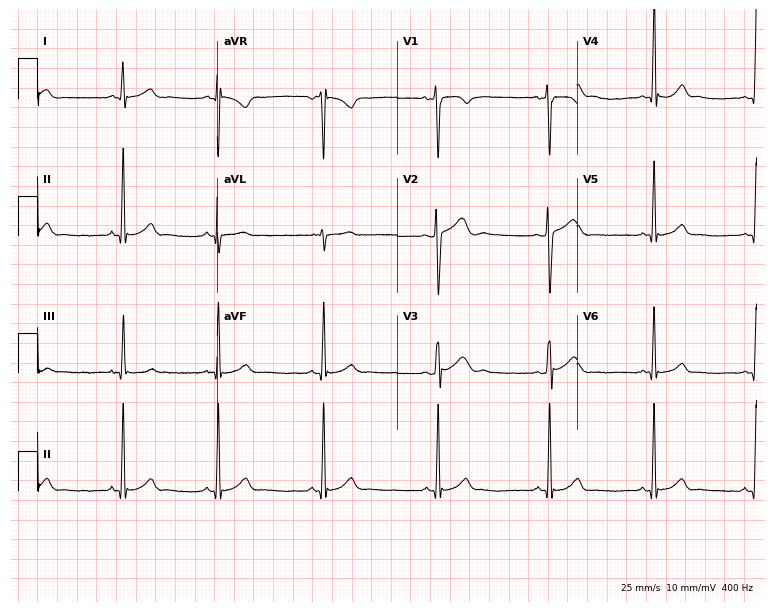
12-lead ECG (7.3-second recording at 400 Hz) from a man, 17 years old. Screened for six findings — first-degree AV block, right bundle branch block, left bundle branch block, sinus bradycardia, atrial fibrillation, sinus tachycardia — none is recorded.